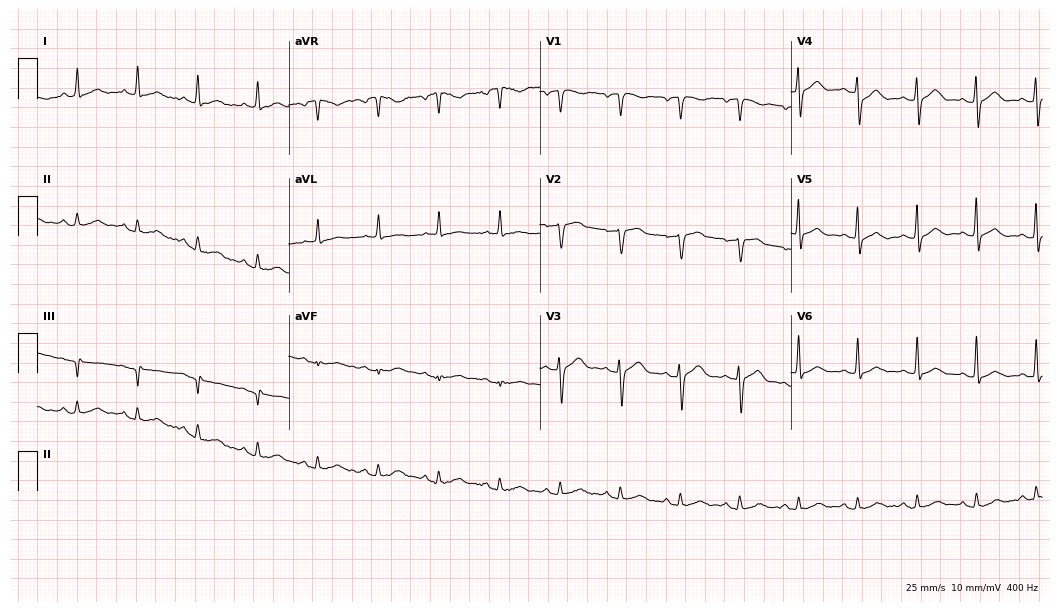
Electrocardiogram (10.2-second recording at 400 Hz), a 69-year-old man. Overall reading on record: normal ECG.